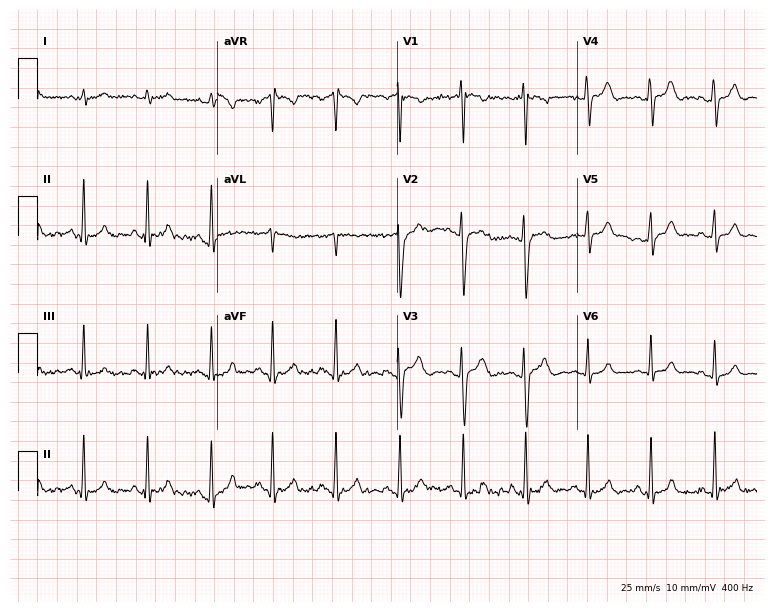
ECG (7.3-second recording at 400 Hz) — a 21-year-old male patient. Labelled as a normal ECG.